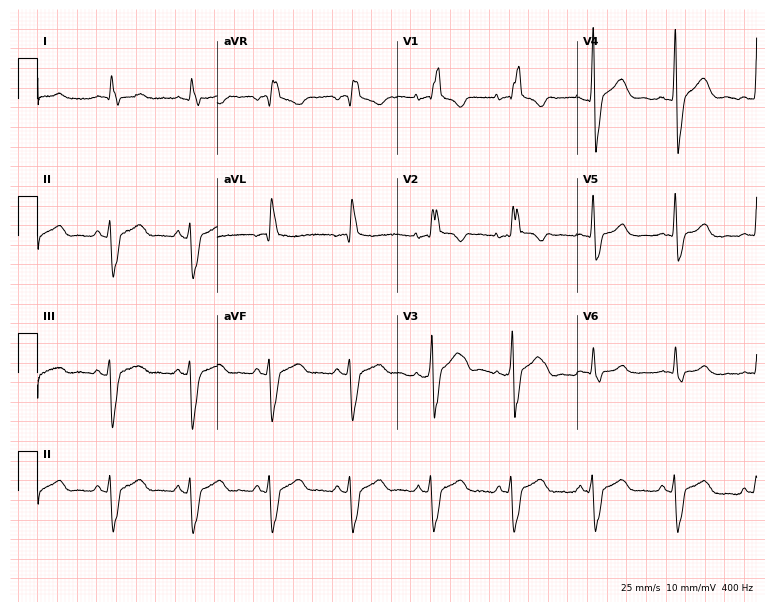
12-lead ECG from a 38-year-old man. Shows right bundle branch block.